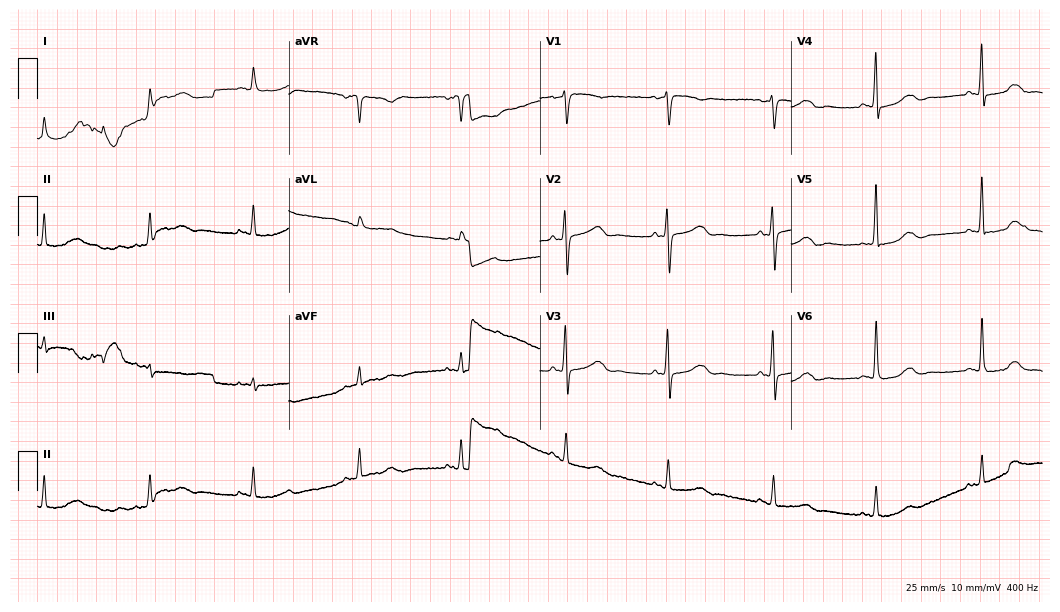
12-lead ECG (10.2-second recording at 400 Hz) from a 66-year-old female. Screened for six findings — first-degree AV block, right bundle branch block, left bundle branch block, sinus bradycardia, atrial fibrillation, sinus tachycardia — none is recorded.